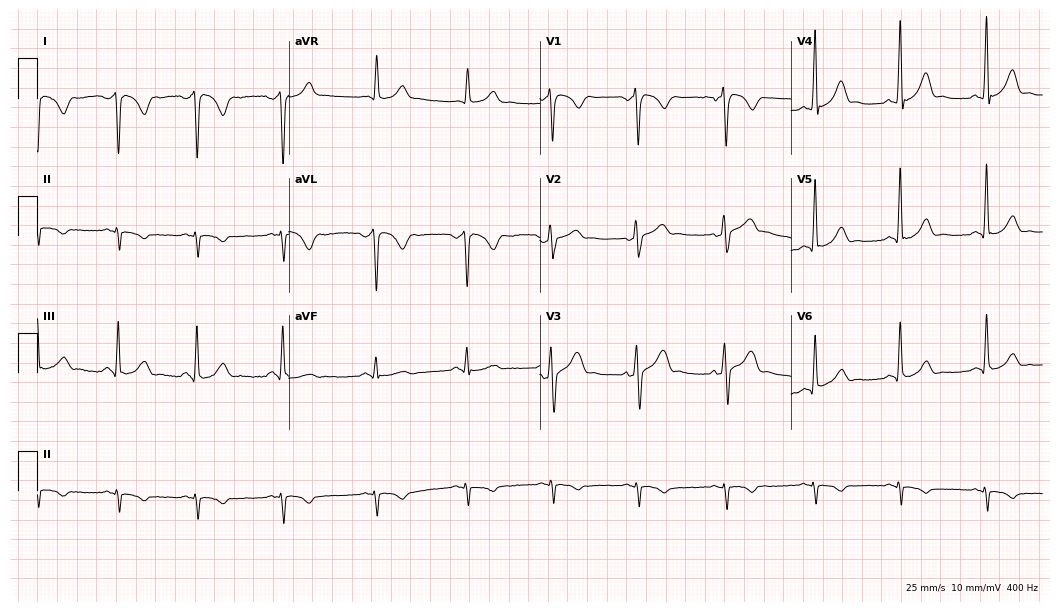
12-lead ECG (10.2-second recording at 400 Hz) from a man, 56 years old. Screened for six findings — first-degree AV block, right bundle branch block (RBBB), left bundle branch block (LBBB), sinus bradycardia, atrial fibrillation (AF), sinus tachycardia — none is recorded. Findings outside these six are not listed.